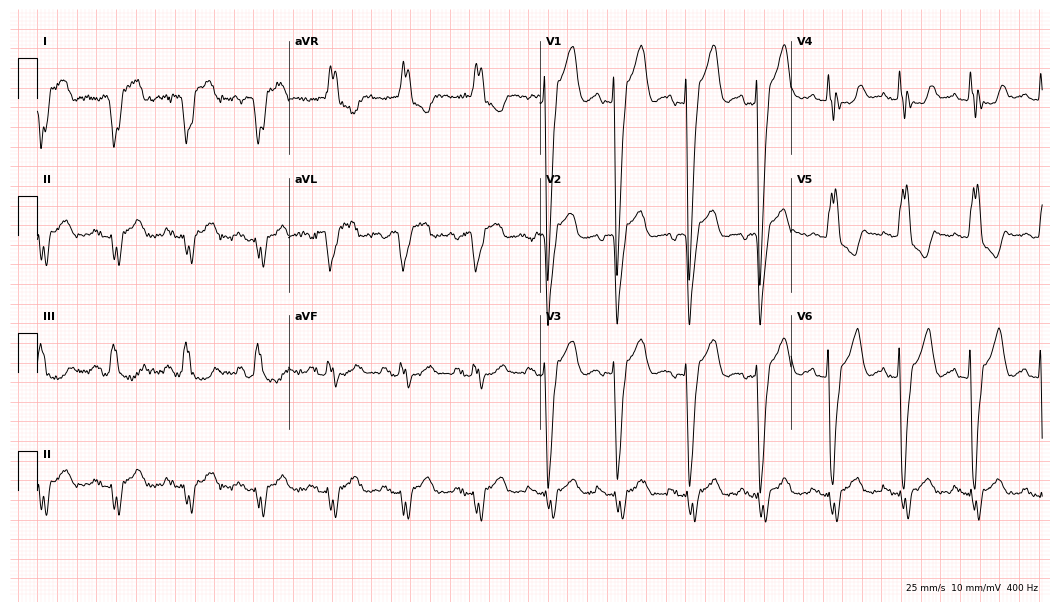
Electrocardiogram (10.2-second recording at 400 Hz), a female, 47 years old. Interpretation includes left bundle branch block.